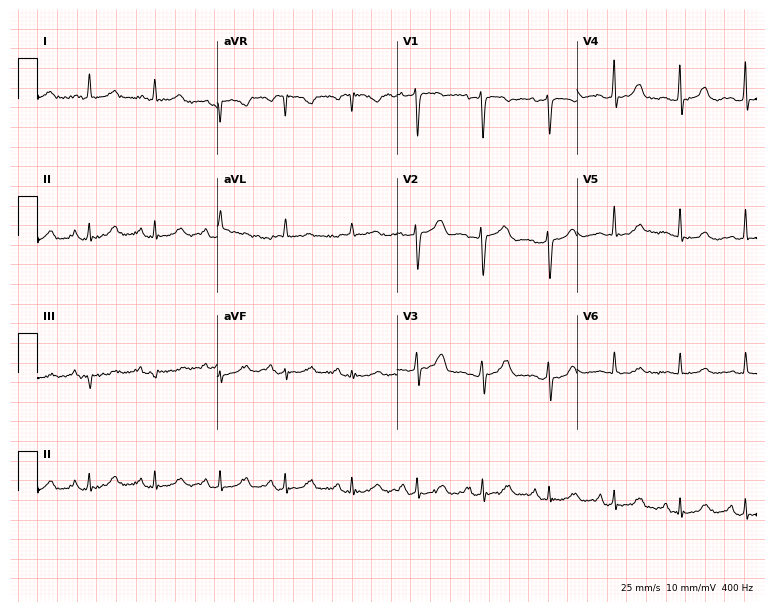
Electrocardiogram, a 53-year-old female. Of the six screened findings (first-degree AV block, right bundle branch block, left bundle branch block, sinus bradycardia, atrial fibrillation, sinus tachycardia), none is recorded.